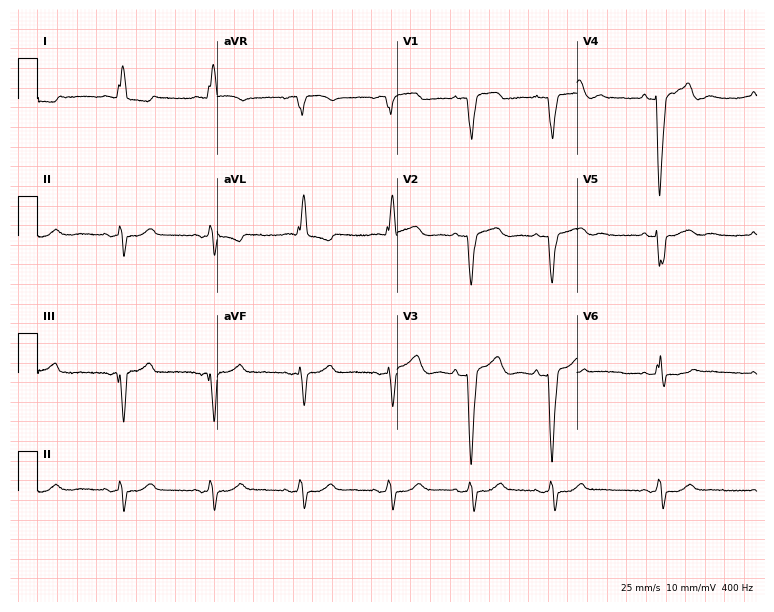
12-lead ECG from a 65-year-old woman. Shows left bundle branch block.